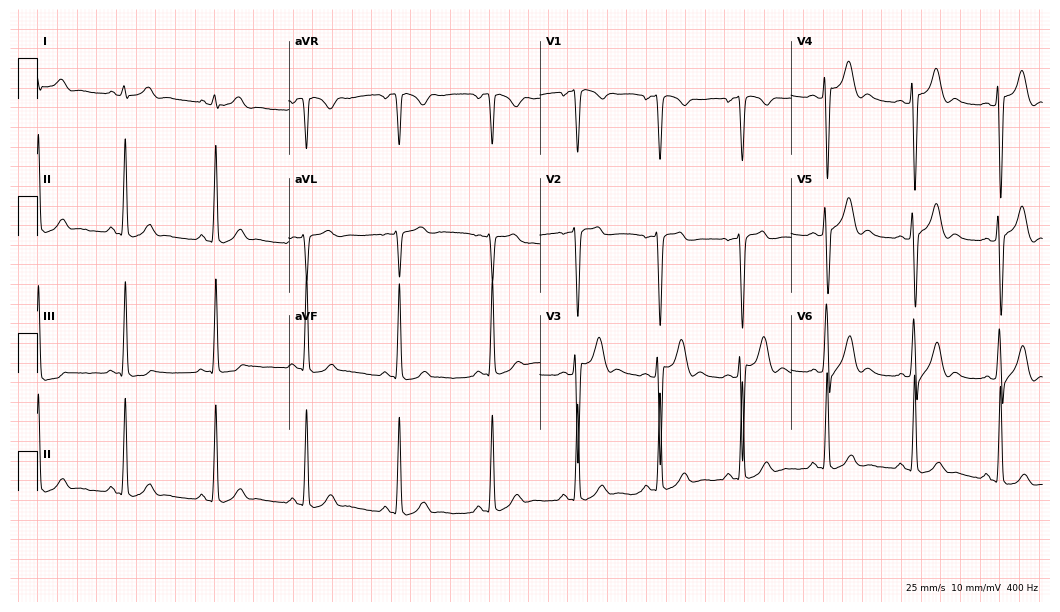
12-lead ECG from a male patient, 17 years old. Labelled as a normal ECG.